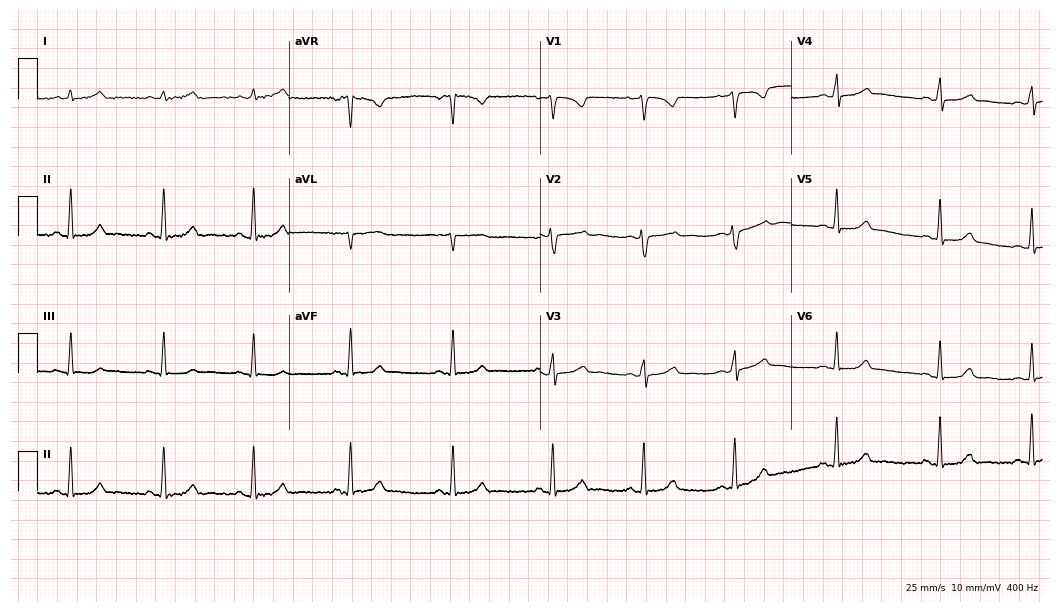
Standard 12-lead ECG recorded from a female patient, 17 years old. Read as a normal ECG.